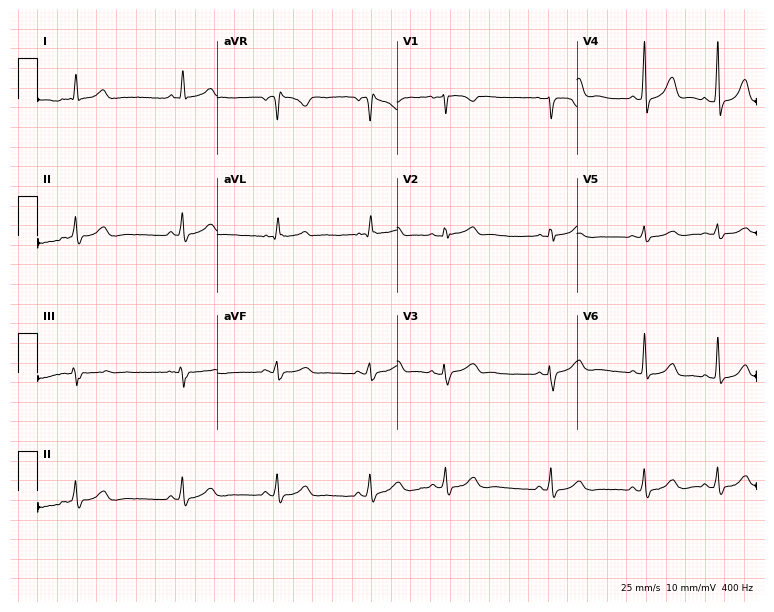
ECG — a female, 50 years old. Screened for six findings — first-degree AV block, right bundle branch block, left bundle branch block, sinus bradycardia, atrial fibrillation, sinus tachycardia — none is recorded. Findings outside these six are not listed.